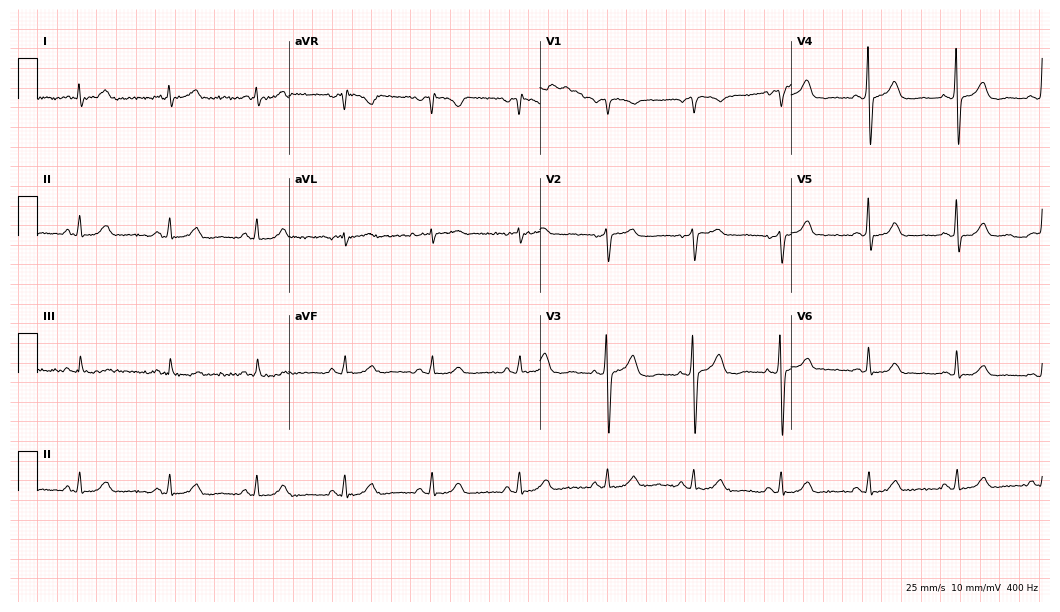
Standard 12-lead ECG recorded from a male, 82 years old. Read as a normal ECG.